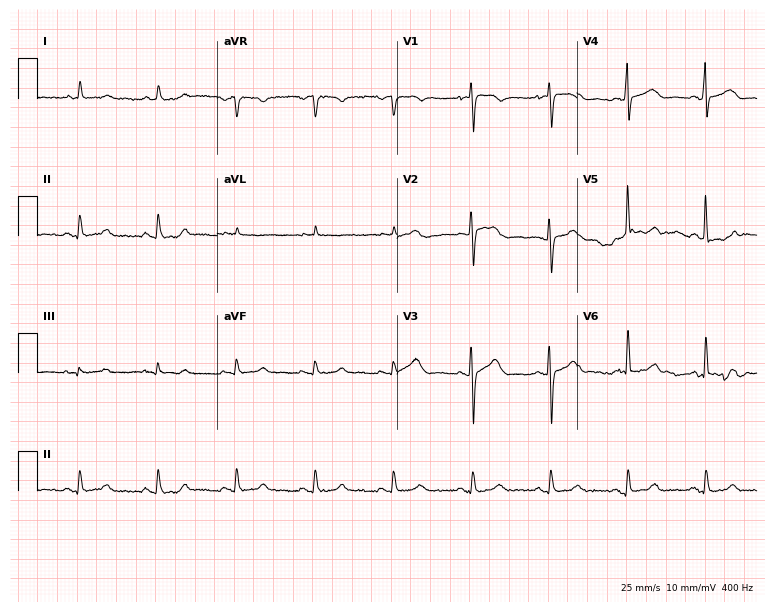
Electrocardiogram, a male patient, 63 years old. Of the six screened findings (first-degree AV block, right bundle branch block, left bundle branch block, sinus bradycardia, atrial fibrillation, sinus tachycardia), none is recorded.